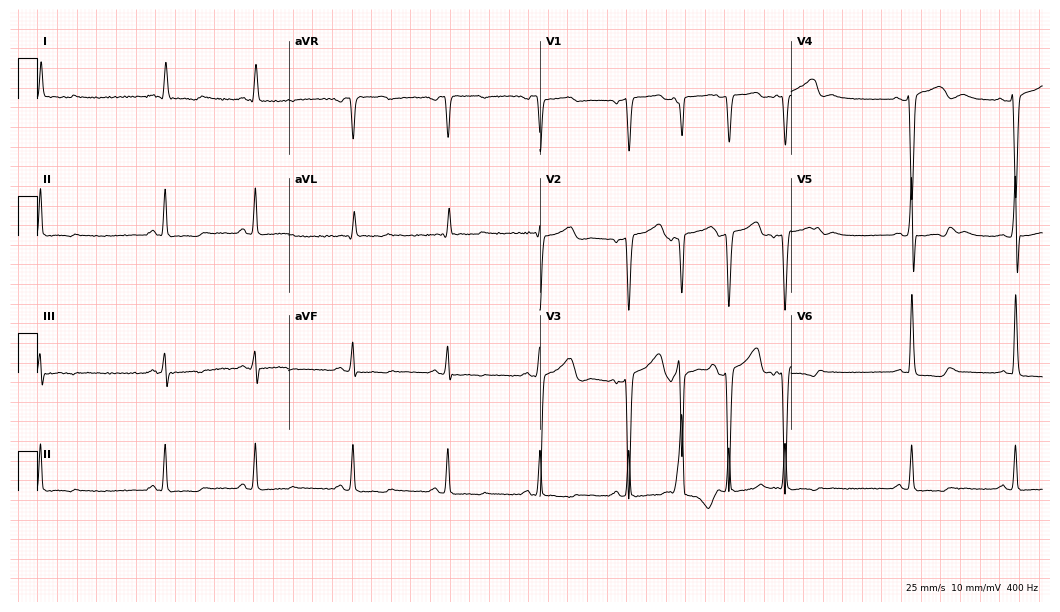
12-lead ECG from a female patient, 52 years old. Screened for six findings — first-degree AV block, right bundle branch block, left bundle branch block, sinus bradycardia, atrial fibrillation, sinus tachycardia — none is recorded.